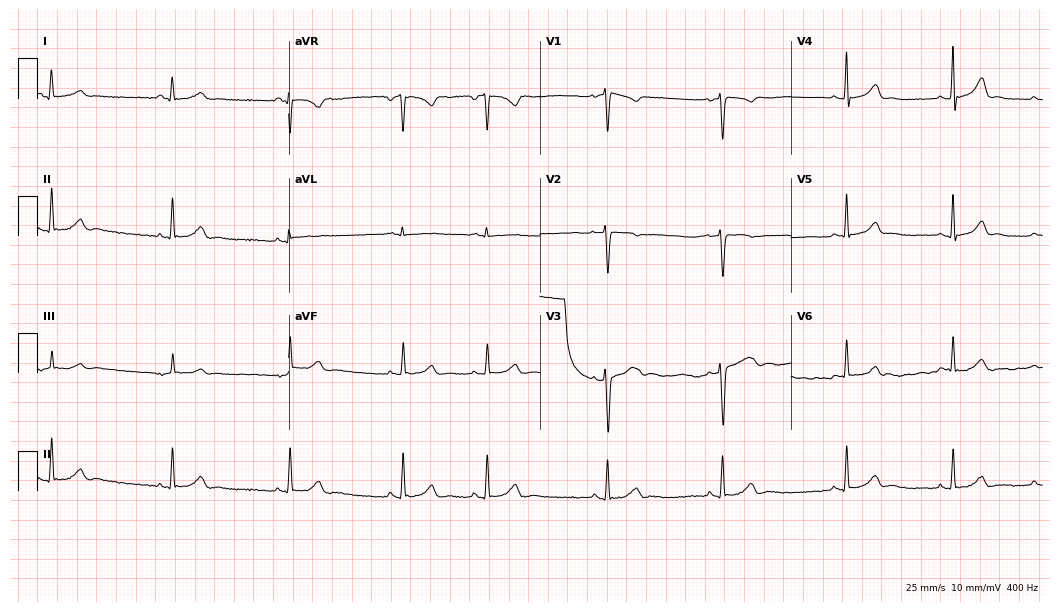
Electrocardiogram (10.2-second recording at 400 Hz), a female, 19 years old. Of the six screened findings (first-degree AV block, right bundle branch block, left bundle branch block, sinus bradycardia, atrial fibrillation, sinus tachycardia), none is recorded. Other findings, if any, are not listed.